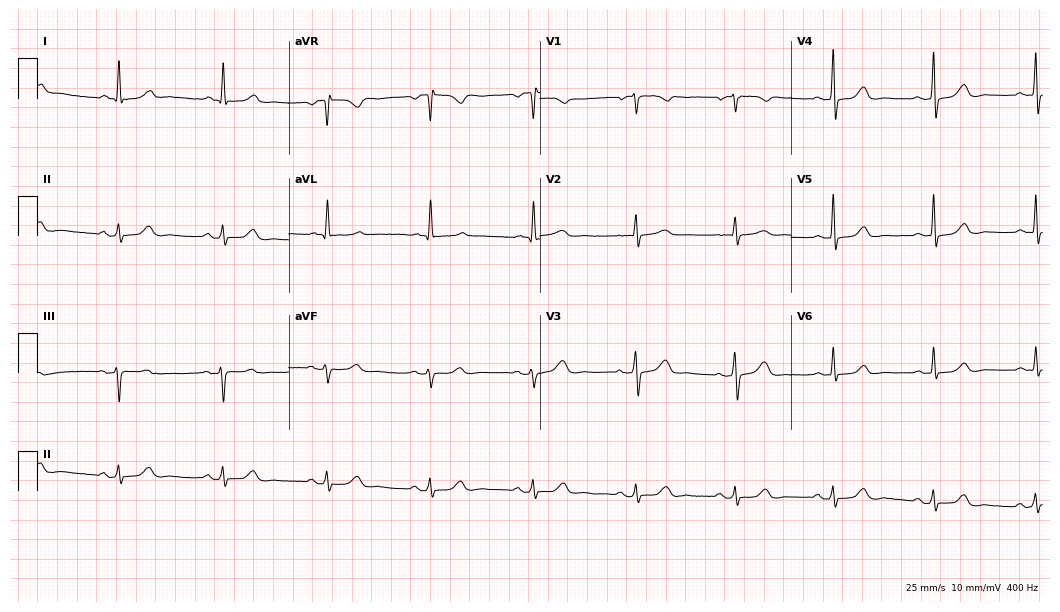
Standard 12-lead ECG recorded from a 54-year-old female patient. Read as a normal ECG.